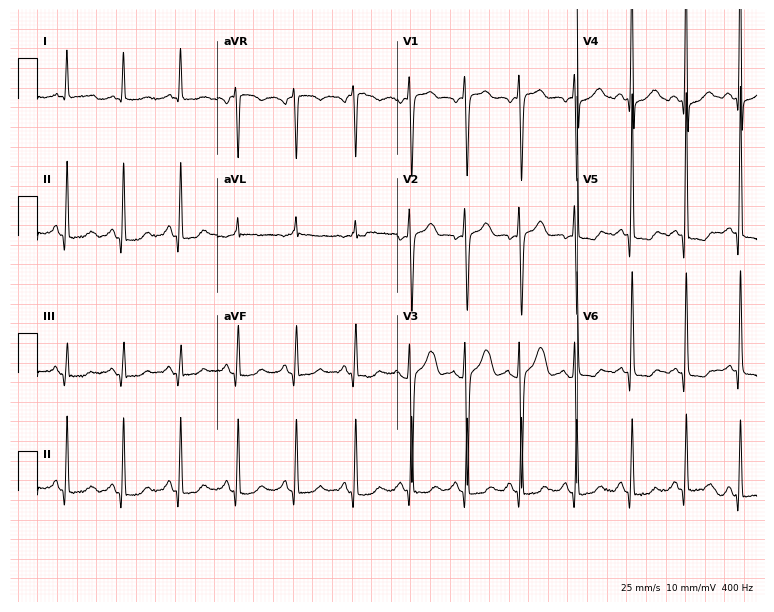
ECG (7.3-second recording at 400 Hz) — a female patient, 47 years old. Findings include sinus tachycardia (a sinus rate of 100 beats per minute or more).